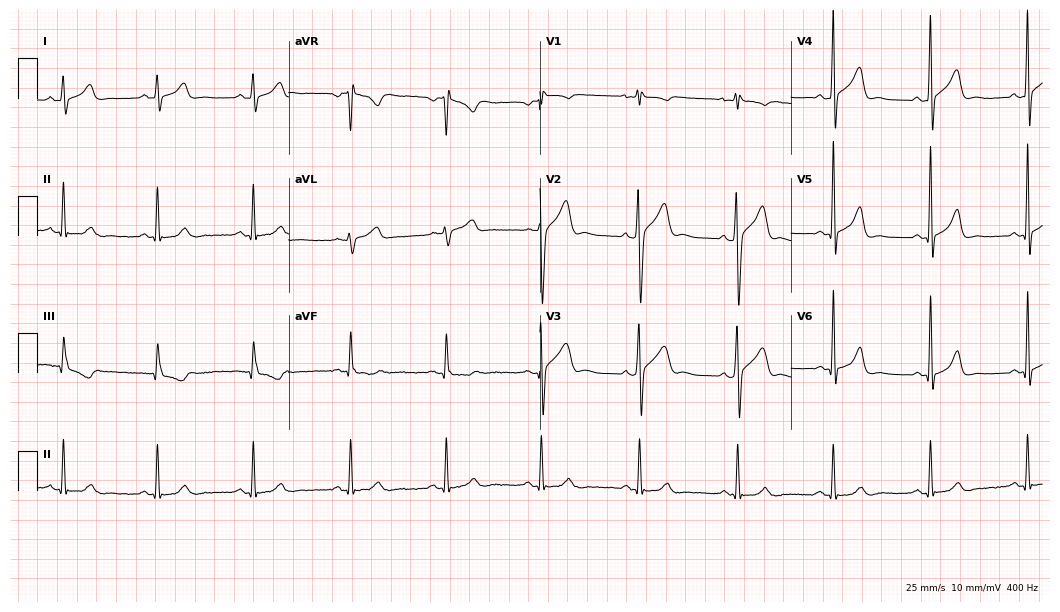
Standard 12-lead ECG recorded from a male patient, 30 years old. Read as a normal ECG.